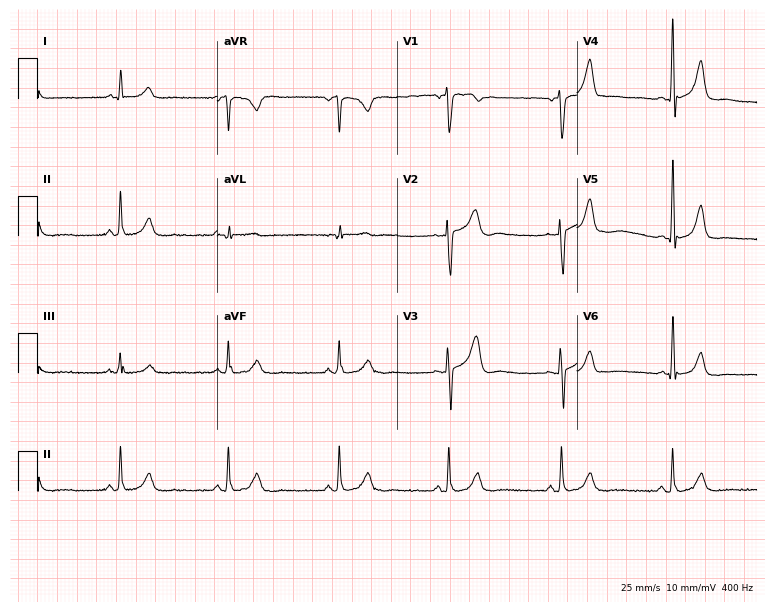
Resting 12-lead electrocardiogram. Patient: a 52-year-old male. Read as a normal ECG.